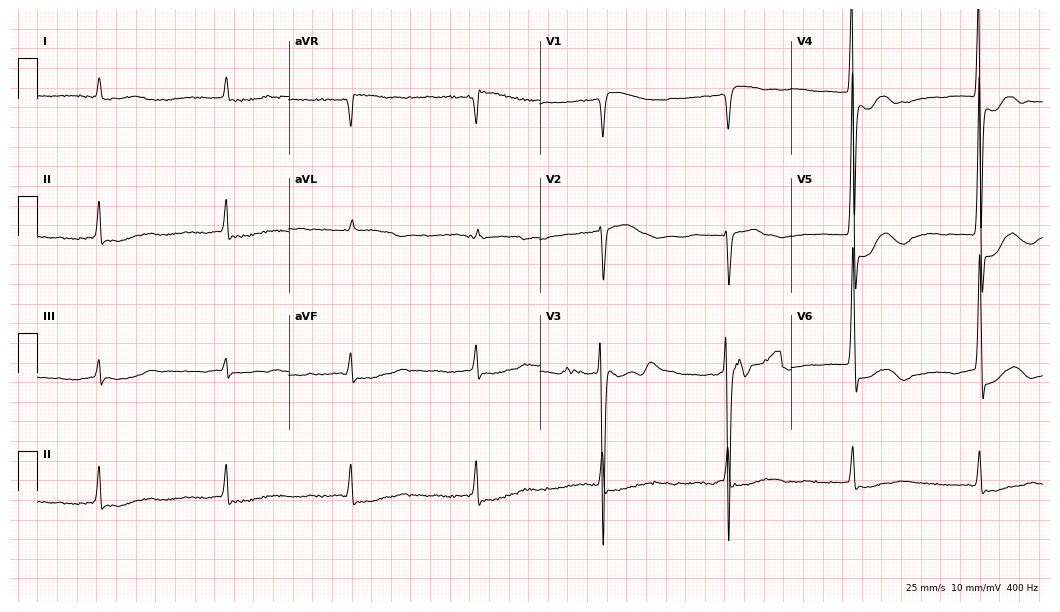
Resting 12-lead electrocardiogram. Patient: an 83-year-old male. None of these six findings is recorded: first-degree AV block, right bundle branch block, left bundle branch block, sinus bradycardia, atrial fibrillation, sinus tachycardia.